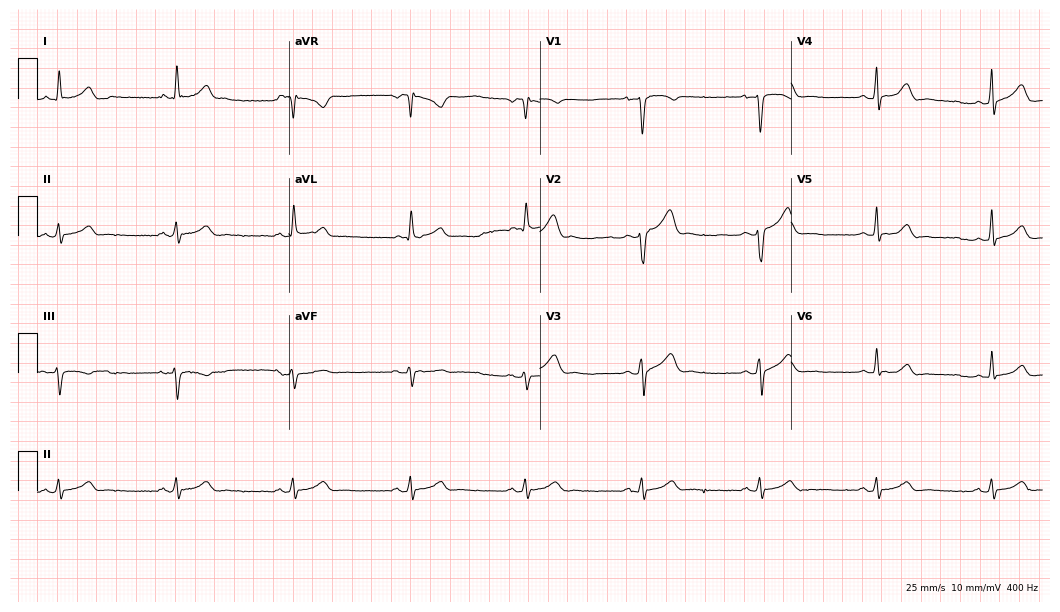
ECG (10.2-second recording at 400 Hz) — a 43-year-old man. Findings include sinus bradycardia (a sinus rate of 50 beats per minute or less).